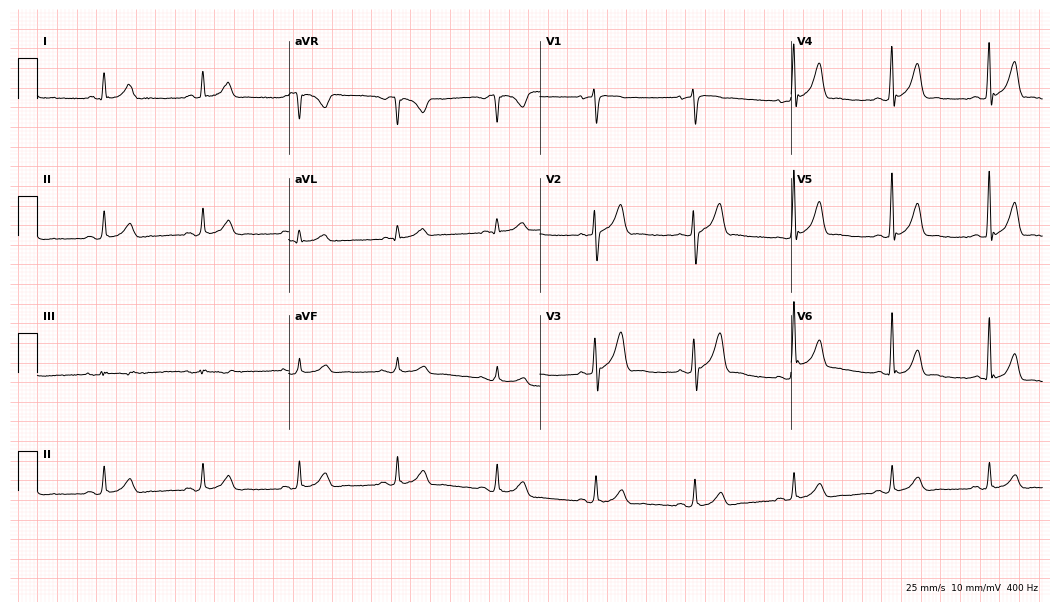
ECG (10.2-second recording at 400 Hz) — a male patient, 49 years old. Labelled as a normal ECG.